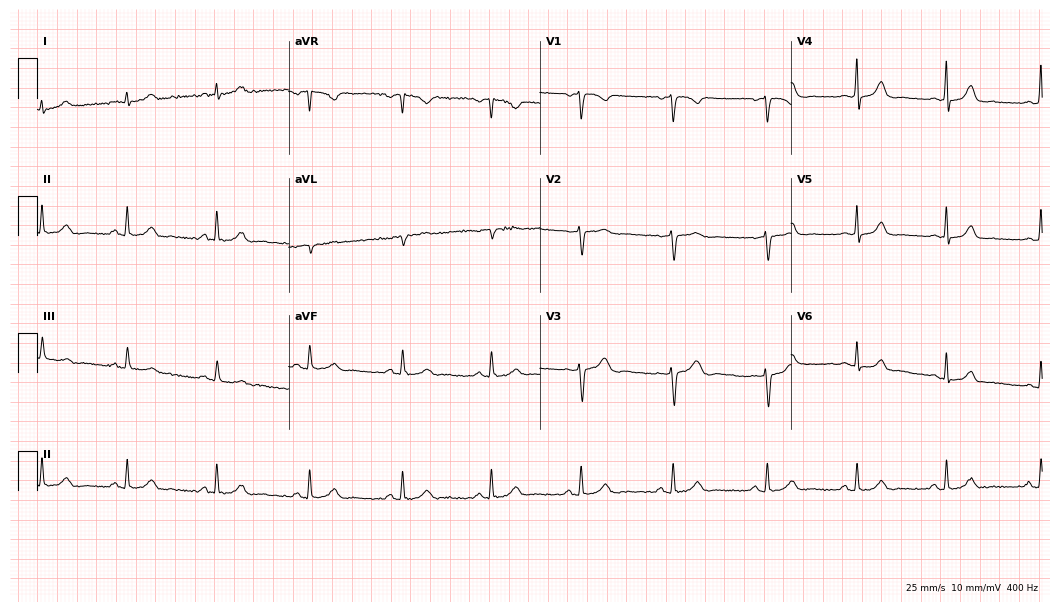
Standard 12-lead ECG recorded from a woman, 36 years old. Read as a normal ECG.